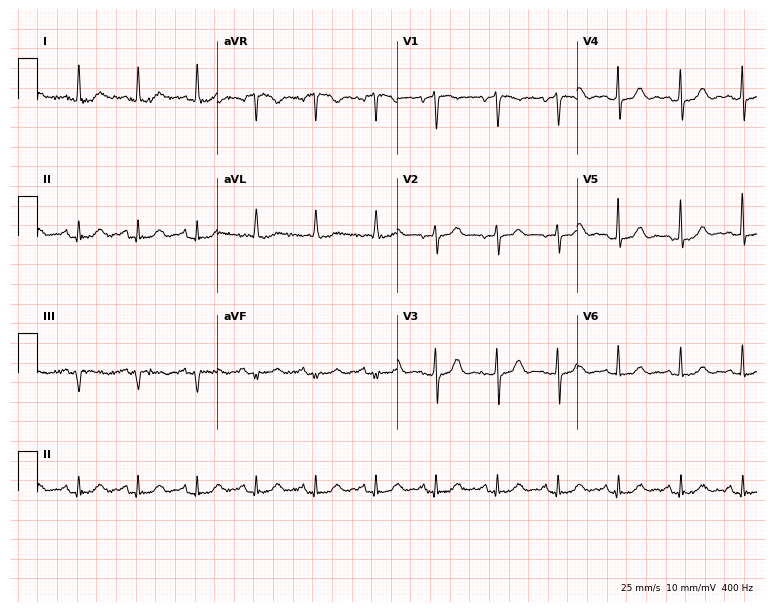
12-lead ECG from a 67-year-old woman. Recorded interpretation: within normal limits.